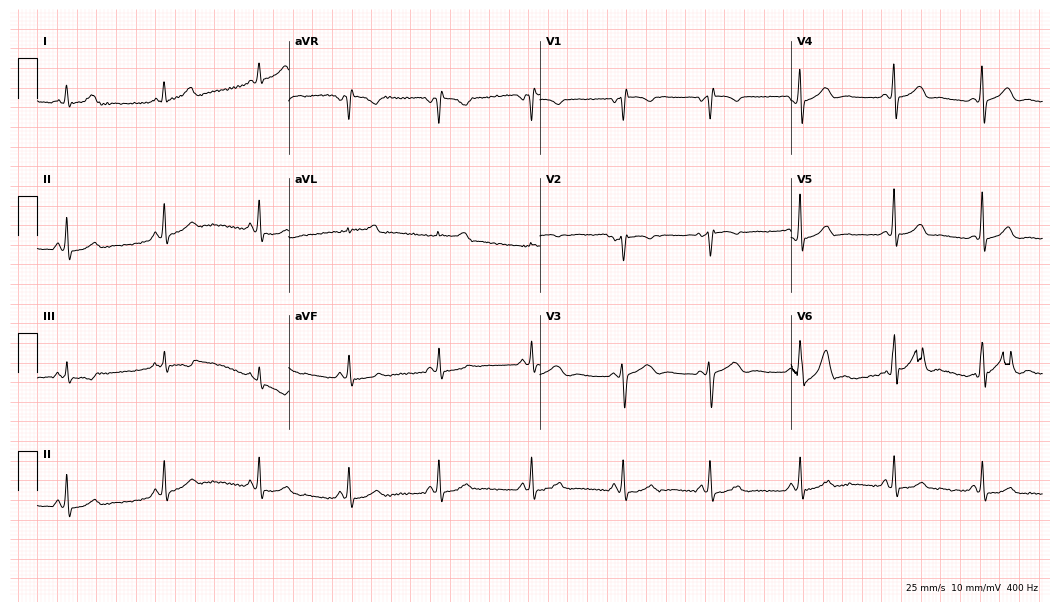
Electrocardiogram (10.2-second recording at 400 Hz), a 35-year-old female. Overall reading on record: normal ECG.